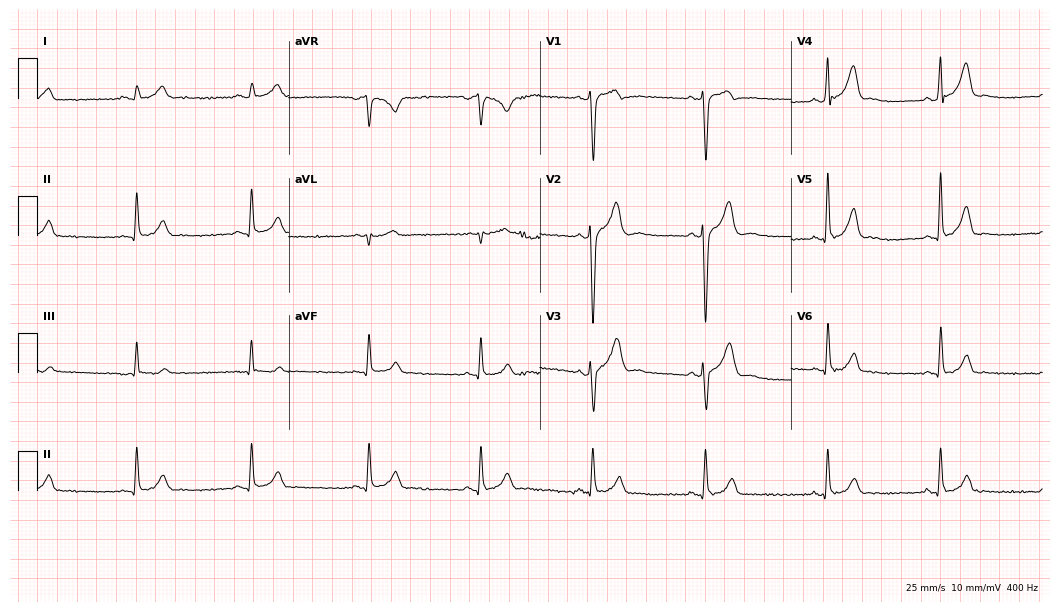
Resting 12-lead electrocardiogram. Patient: a 25-year-old male. Read as a normal ECG.